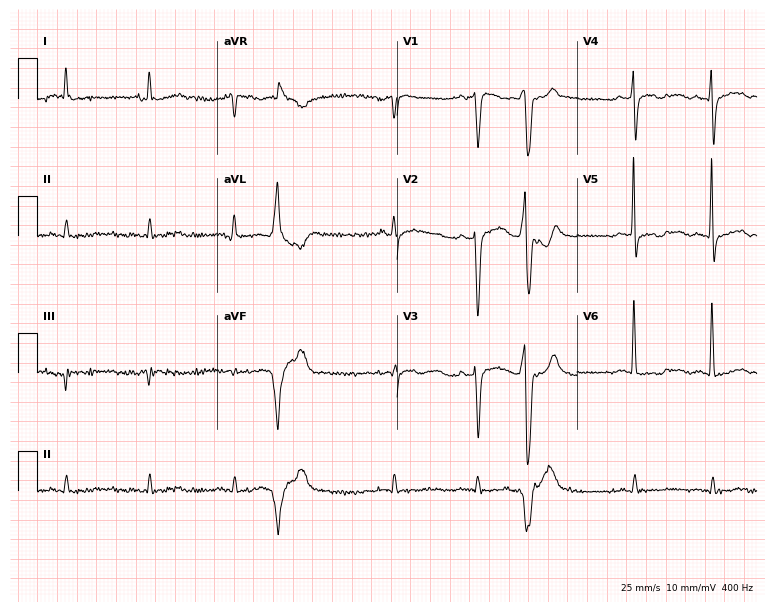
ECG (7.3-second recording at 400 Hz) — a 63-year-old male. Screened for six findings — first-degree AV block, right bundle branch block (RBBB), left bundle branch block (LBBB), sinus bradycardia, atrial fibrillation (AF), sinus tachycardia — none is recorded. Only these six findings were labelled.